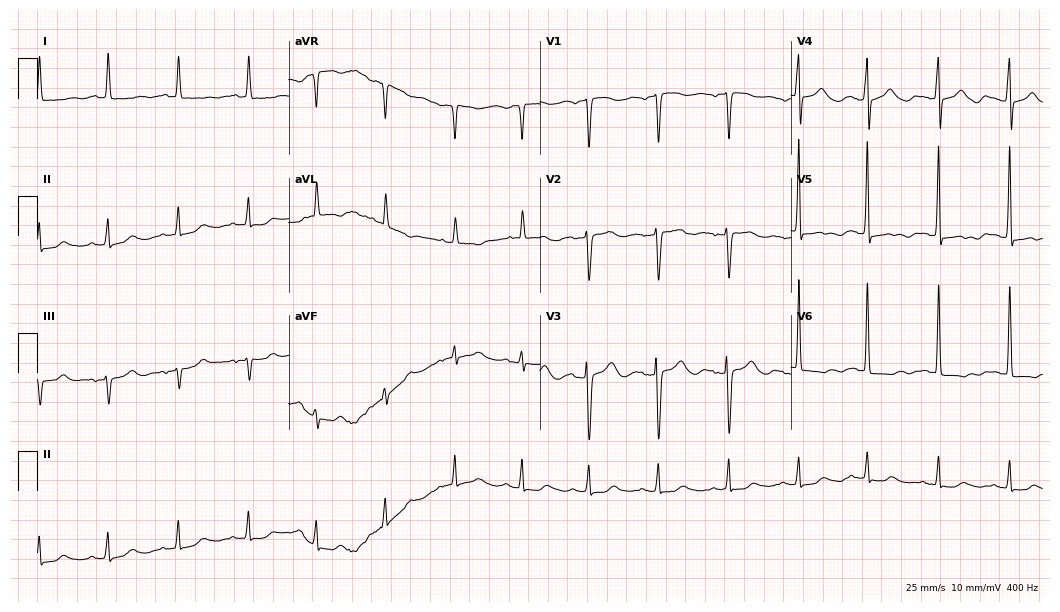
Standard 12-lead ECG recorded from an 81-year-old female. None of these six findings is recorded: first-degree AV block, right bundle branch block, left bundle branch block, sinus bradycardia, atrial fibrillation, sinus tachycardia. Only these six findings were labelled.